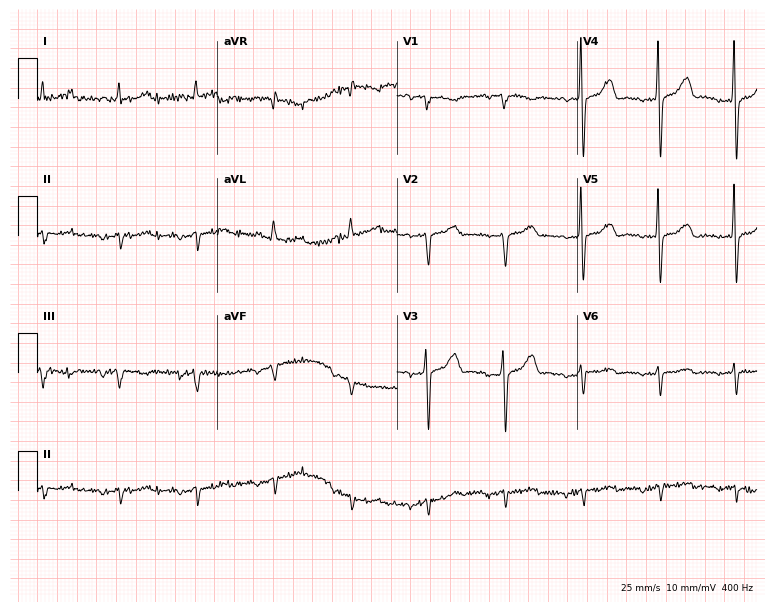
Resting 12-lead electrocardiogram. Patient: a 66-year-old male. None of these six findings is recorded: first-degree AV block, right bundle branch block, left bundle branch block, sinus bradycardia, atrial fibrillation, sinus tachycardia. Only these six findings were labelled.